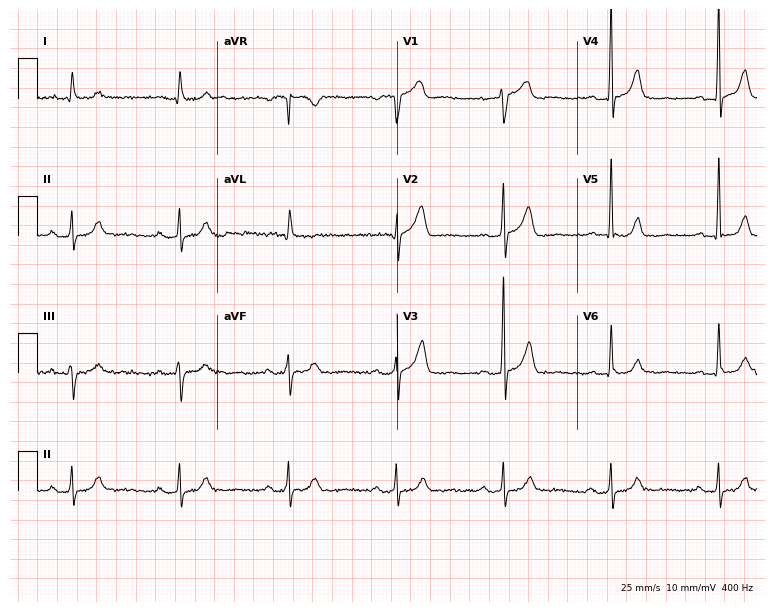
Electrocardiogram, a man, 78 years old. Overall reading on record: normal ECG.